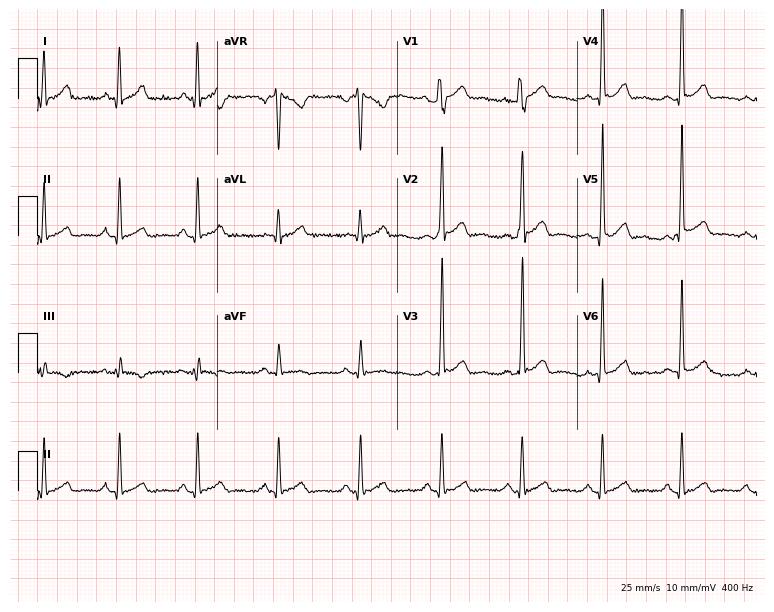
12-lead ECG from a man, 32 years old. No first-degree AV block, right bundle branch block (RBBB), left bundle branch block (LBBB), sinus bradycardia, atrial fibrillation (AF) or sinus tachycardia recorded for this tracing.